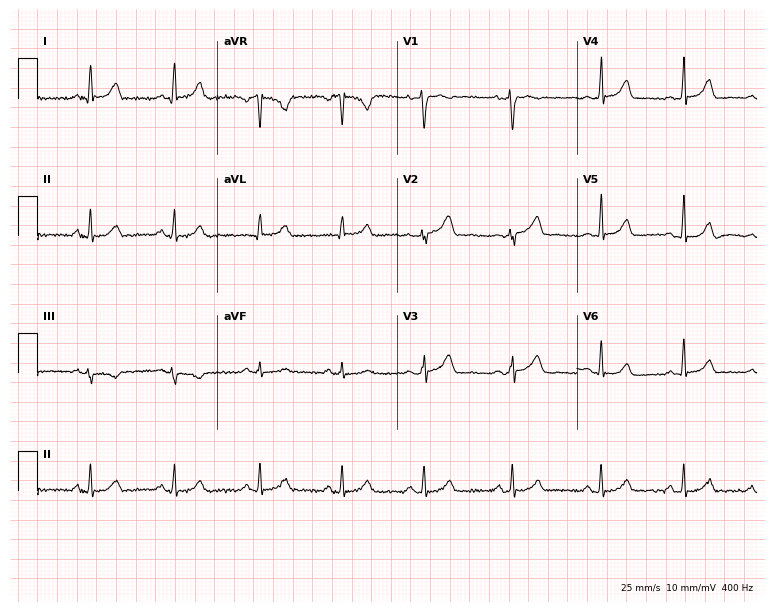
12-lead ECG from a 40-year-old female. Labelled as a normal ECG.